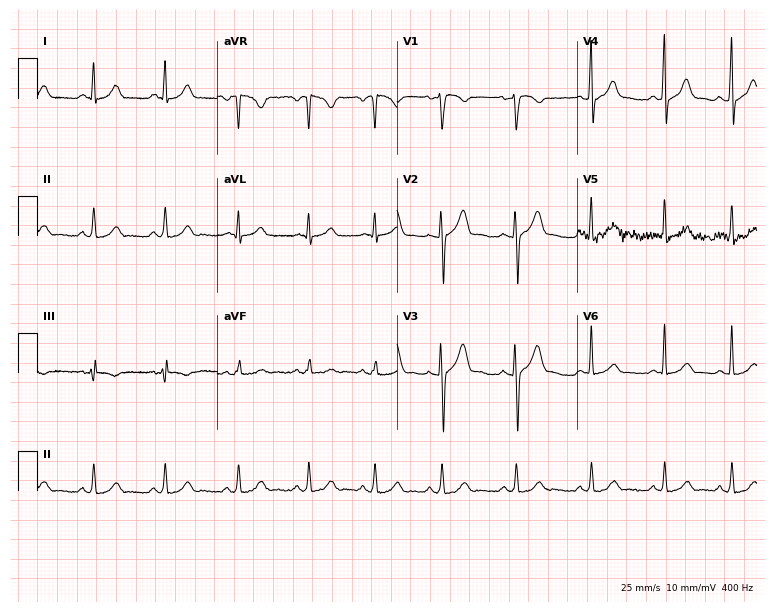
ECG — a male, 26 years old. Labelled as a normal ECG.